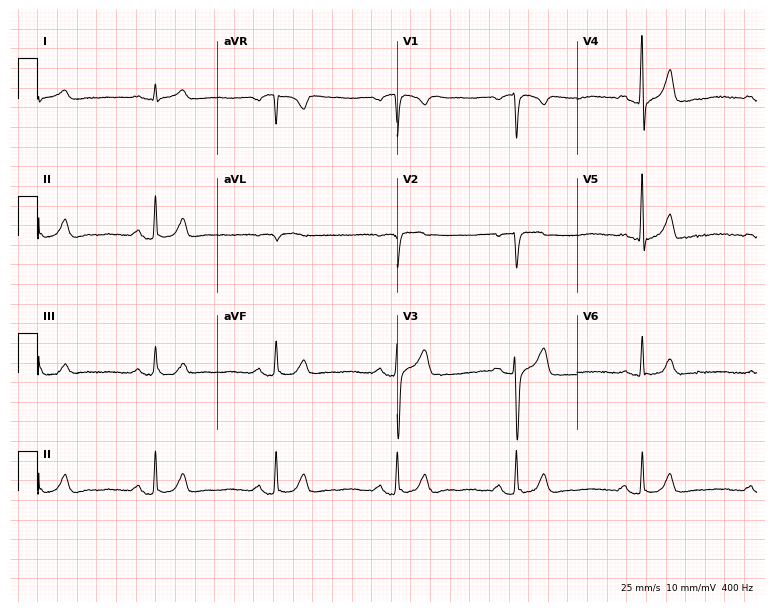
Electrocardiogram, a man, 47 years old. Of the six screened findings (first-degree AV block, right bundle branch block, left bundle branch block, sinus bradycardia, atrial fibrillation, sinus tachycardia), none is recorded. Only these six findings were labelled.